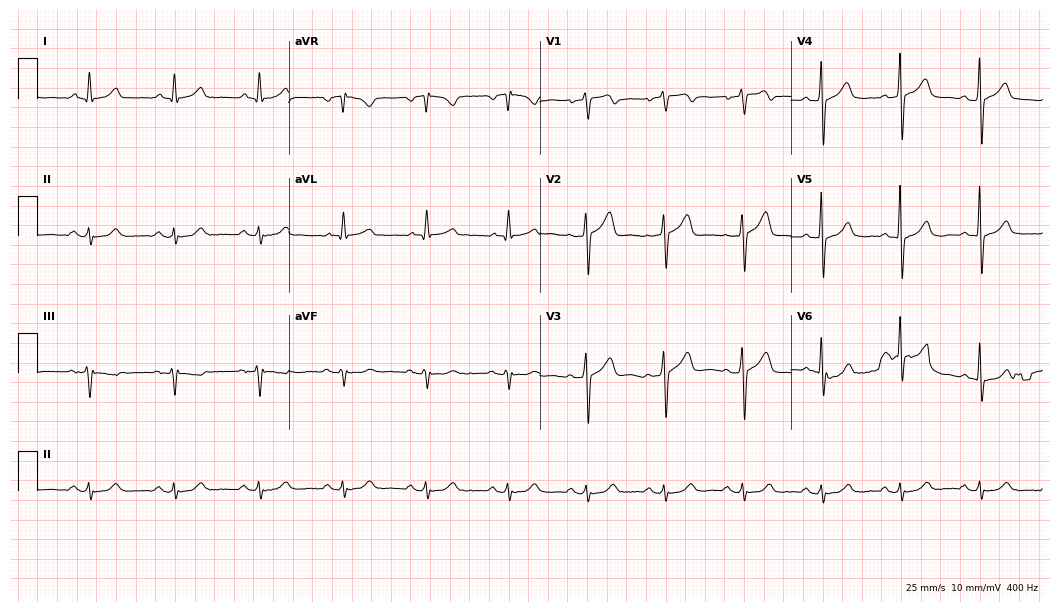
Resting 12-lead electrocardiogram. Patient: a male, 55 years old. Read as a normal ECG.